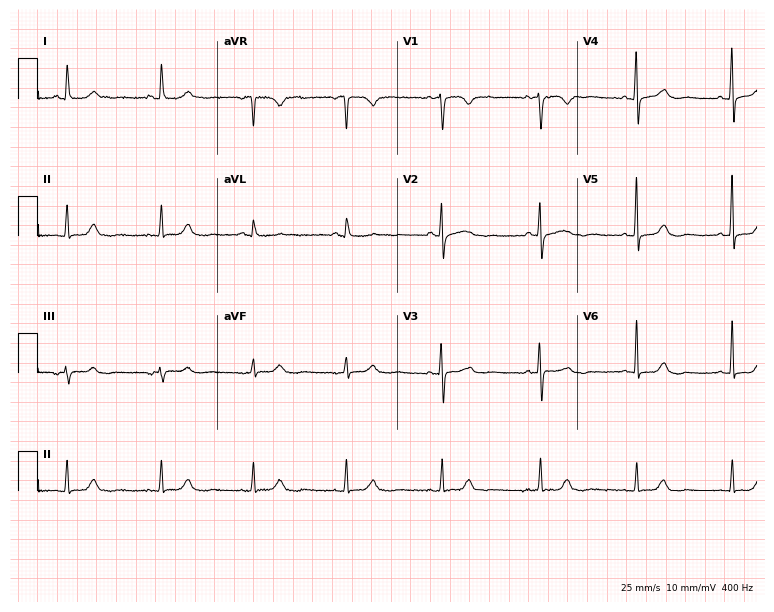
Electrocardiogram, a female patient, 62 years old. Overall reading on record: normal ECG.